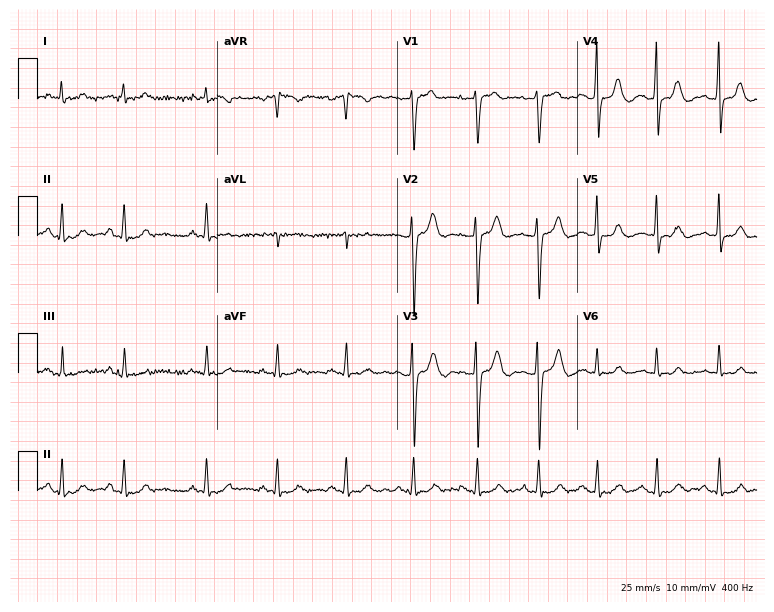
ECG (7.3-second recording at 400 Hz) — a 20-year-old female. Labelled as a normal ECG.